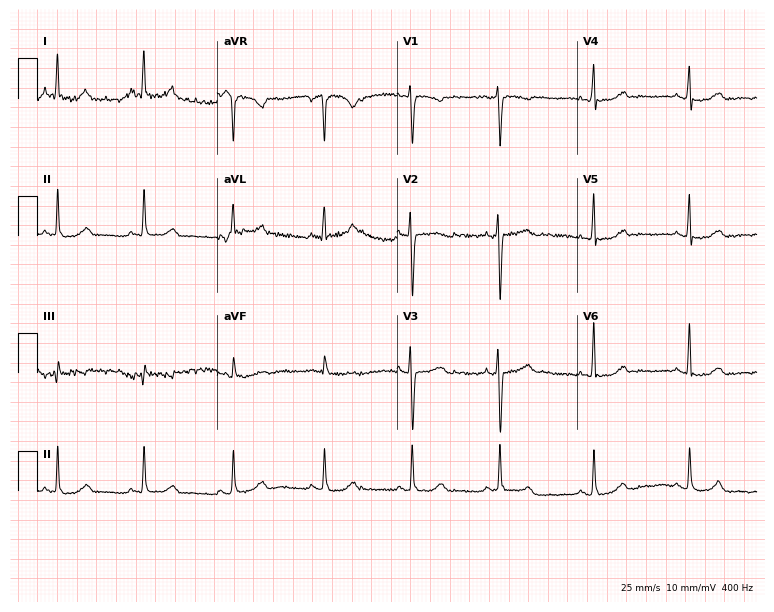
Standard 12-lead ECG recorded from a 46-year-old woman. Read as a normal ECG.